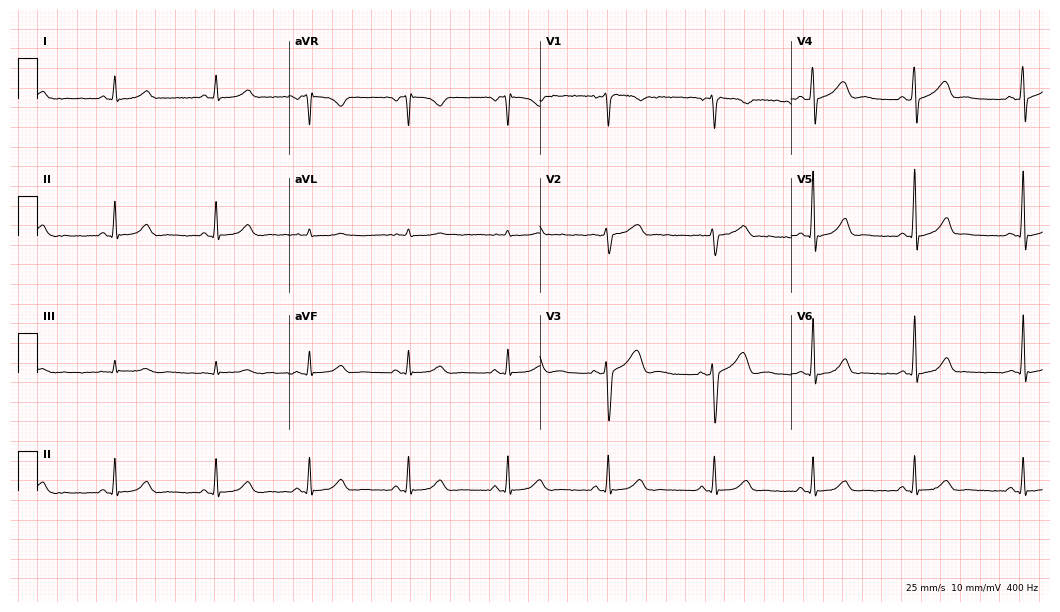
12-lead ECG from a female patient, 54 years old. No first-degree AV block, right bundle branch block, left bundle branch block, sinus bradycardia, atrial fibrillation or sinus tachycardia recorded for this tracing. Findings outside these six are not listed.